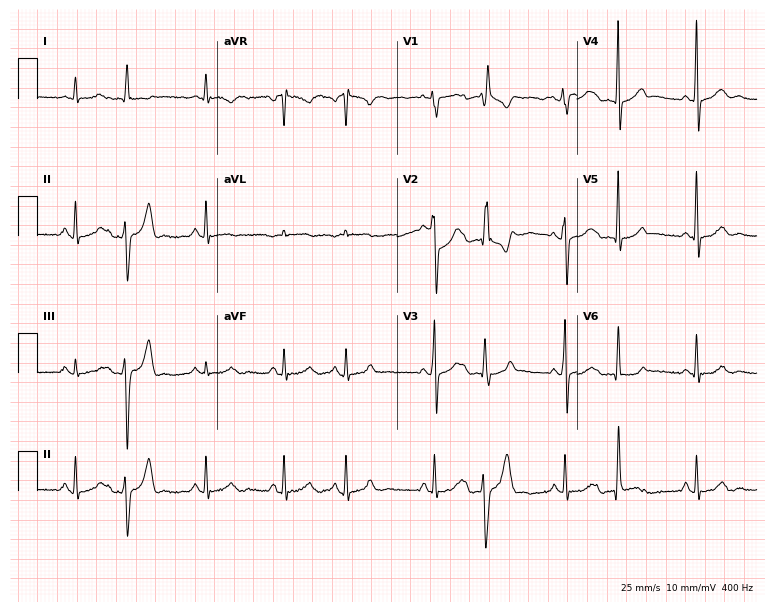
Resting 12-lead electrocardiogram. Patient: a male, 54 years old. None of these six findings is recorded: first-degree AV block, right bundle branch block, left bundle branch block, sinus bradycardia, atrial fibrillation, sinus tachycardia.